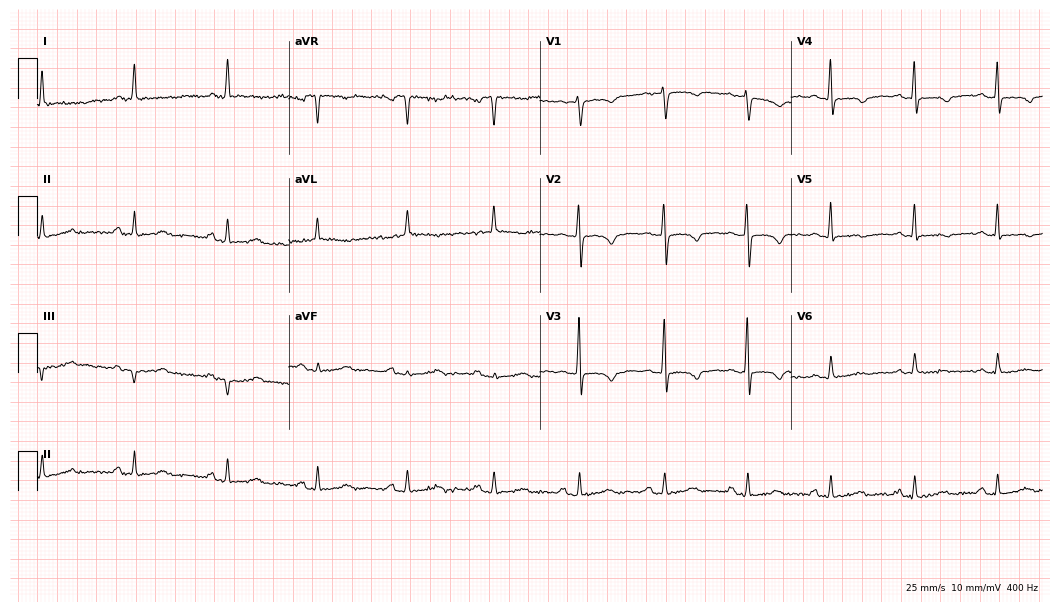
Electrocardiogram (10.2-second recording at 400 Hz), a 76-year-old female. Of the six screened findings (first-degree AV block, right bundle branch block (RBBB), left bundle branch block (LBBB), sinus bradycardia, atrial fibrillation (AF), sinus tachycardia), none is recorded.